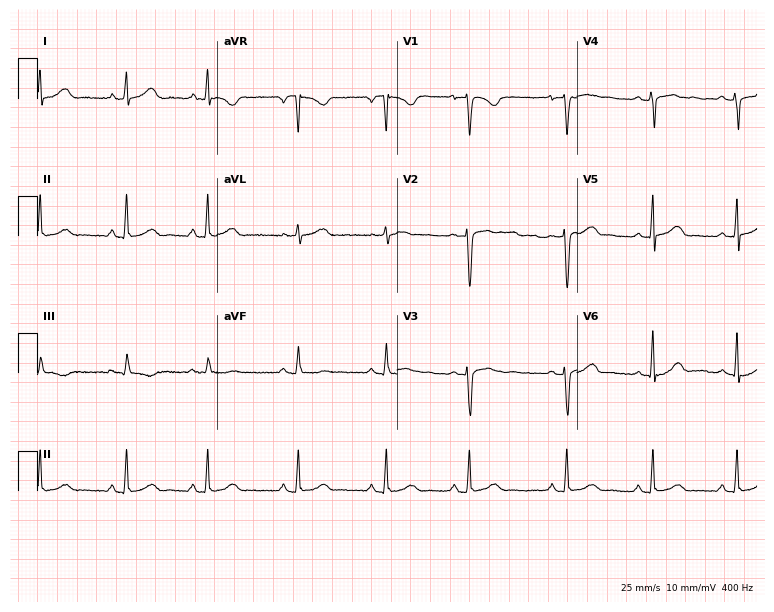
12-lead ECG from a 19-year-old female. Screened for six findings — first-degree AV block, right bundle branch block, left bundle branch block, sinus bradycardia, atrial fibrillation, sinus tachycardia — none is recorded. Findings outside these six are not listed.